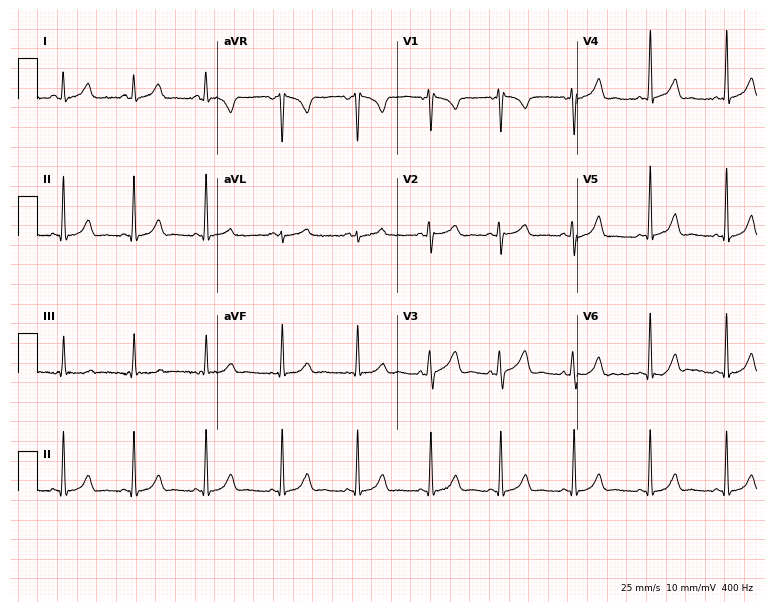
Resting 12-lead electrocardiogram. Patient: a 32-year-old woman. Read as a normal ECG.